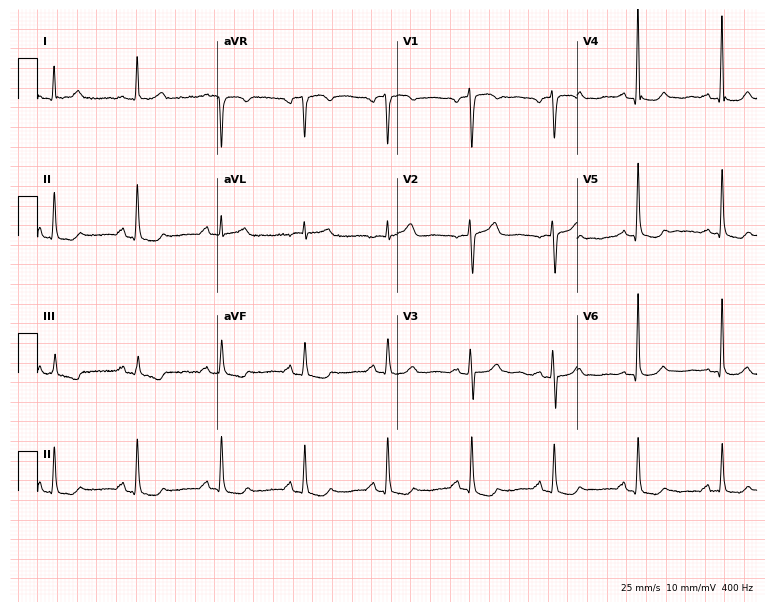
12-lead ECG from a woman, 68 years old (7.3-second recording at 400 Hz). No first-degree AV block, right bundle branch block, left bundle branch block, sinus bradycardia, atrial fibrillation or sinus tachycardia recorded for this tracing. Only these six findings were labelled.